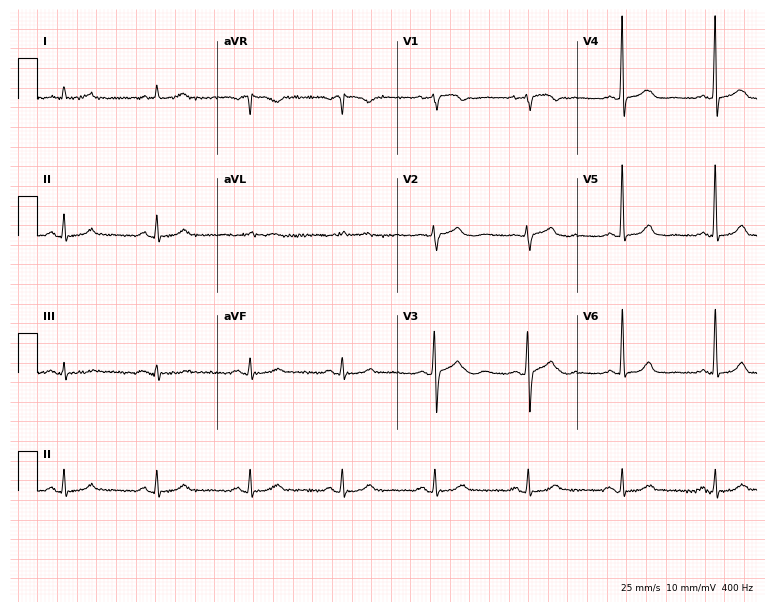
12-lead ECG from a woman, 73 years old (7.3-second recording at 400 Hz). Recorded interpretation: within normal limits.